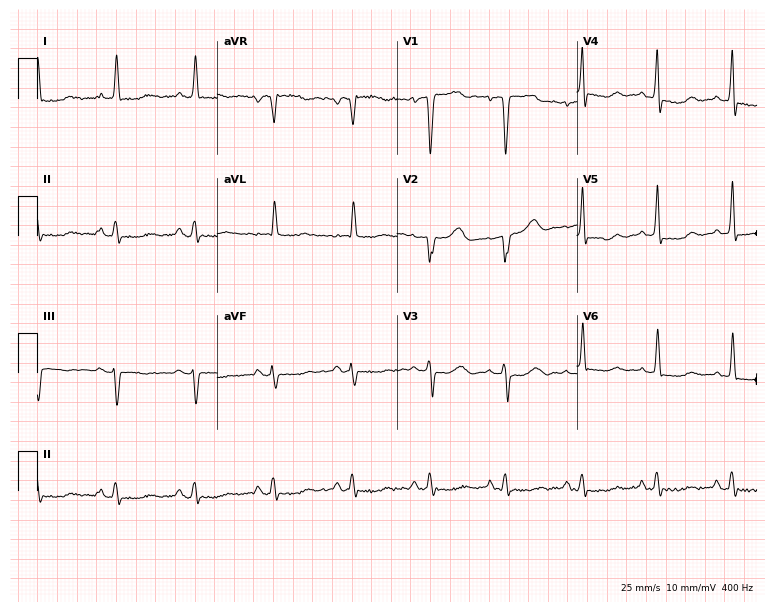
12-lead ECG from a 62-year-old woman (7.3-second recording at 400 Hz). No first-degree AV block, right bundle branch block, left bundle branch block, sinus bradycardia, atrial fibrillation or sinus tachycardia recorded for this tracing.